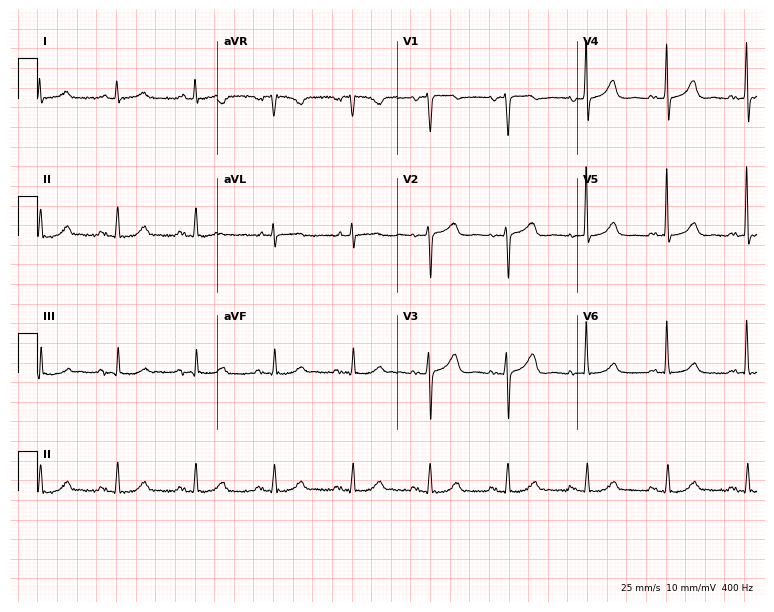
12-lead ECG from a 67-year-old female. Recorded interpretation: within normal limits.